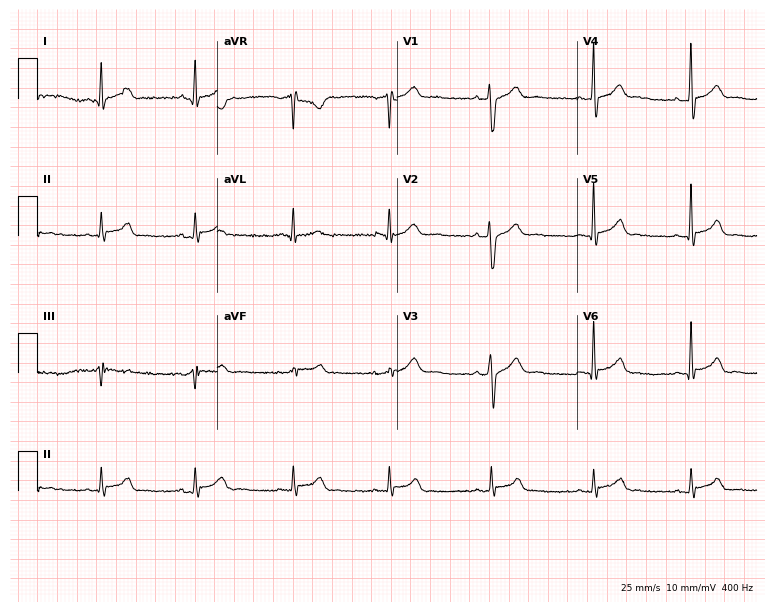
Resting 12-lead electrocardiogram (7.3-second recording at 400 Hz). Patient: a man, 18 years old. Read as a normal ECG.